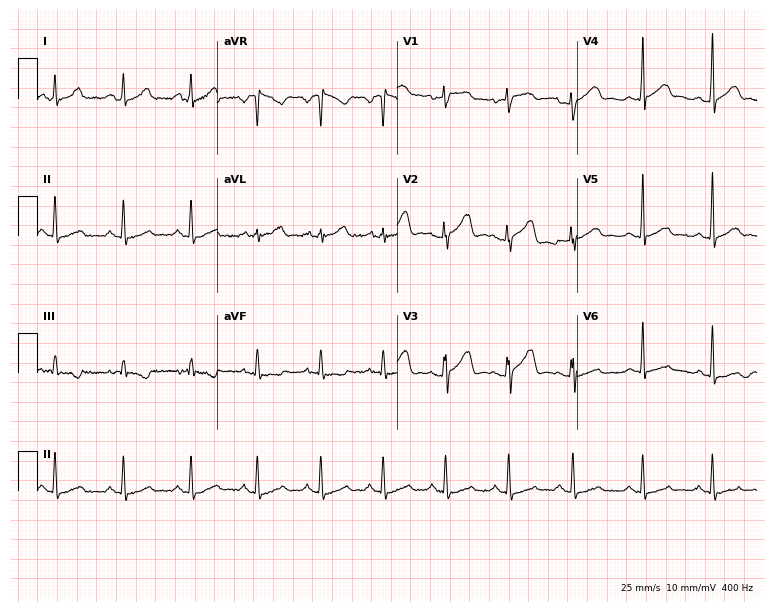
Standard 12-lead ECG recorded from a female, 25 years old. None of these six findings is recorded: first-degree AV block, right bundle branch block, left bundle branch block, sinus bradycardia, atrial fibrillation, sinus tachycardia.